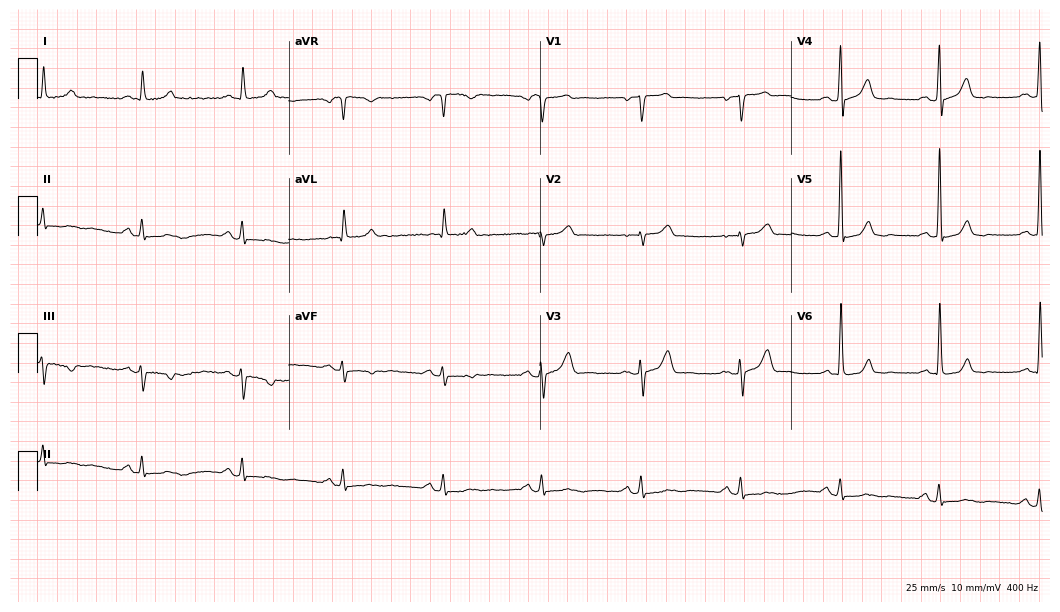
12-lead ECG from a male patient, 61 years old. Screened for six findings — first-degree AV block, right bundle branch block (RBBB), left bundle branch block (LBBB), sinus bradycardia, atrial fibrillation (AF), sinus tachycardia — none is recorded. Other findings, if any, are not listed.